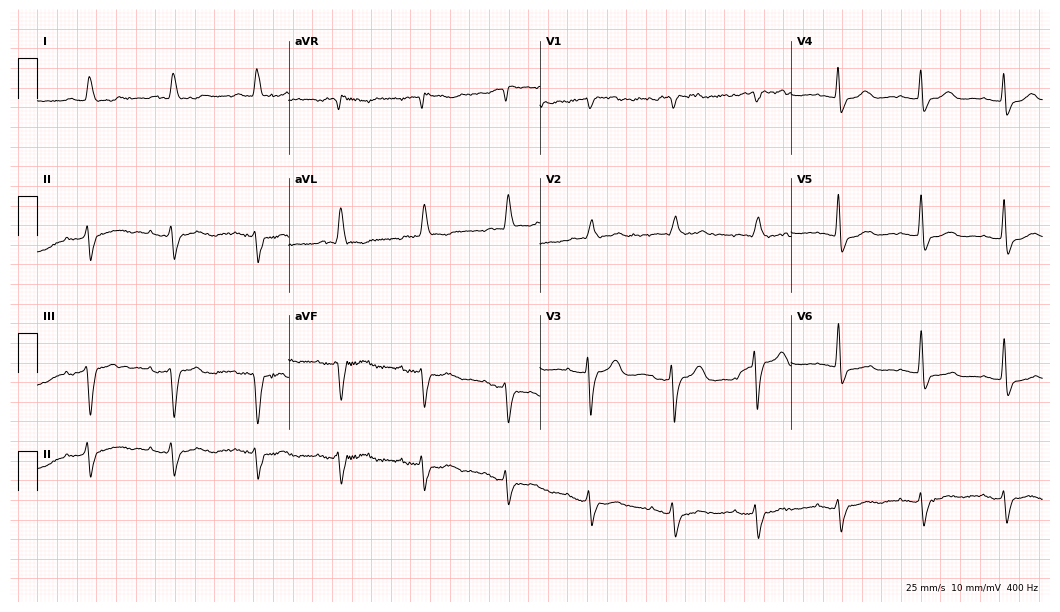
12-lead ECG from an 85-year-old man. Screened for six findings — first-degree AV block, right bundle branch block, left bundle branch block, sinus bradycardia, atrial fibrillation, sinus tachycardia — none is recorded.